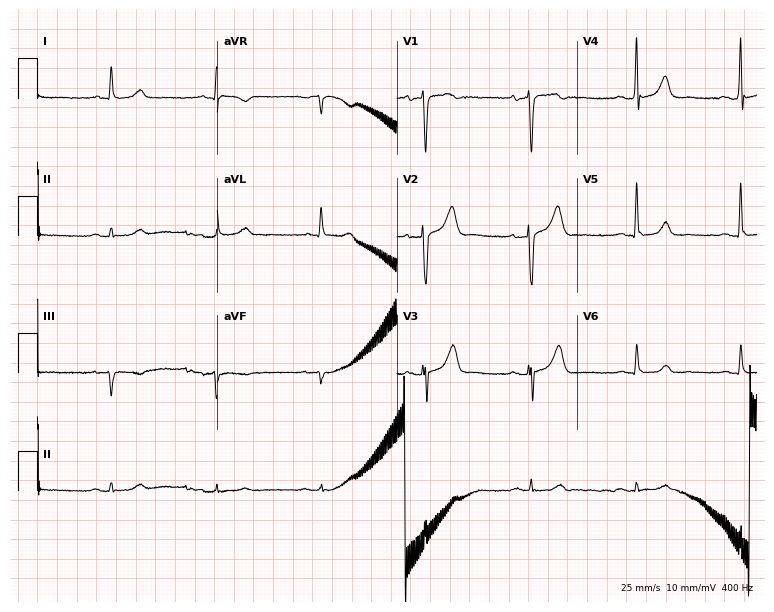
Standard 12-lead ECG recorded from a 52-year-old male patient (7.3-second recording at 400 Hz). None of these six findings is recorded: first-degree AV block, right bundle branch block (RBBB), left bundle branch block (LBBB), sinus bradycardia, atrial fibrillation (AF), sinus tachycardia.